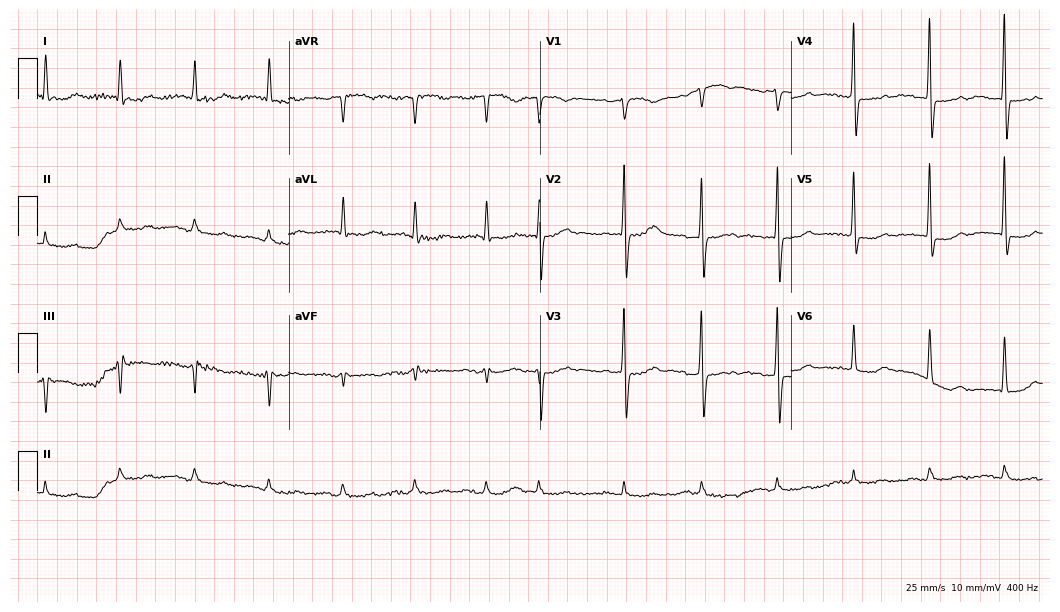
Resting 12-lead electrocardiogram (10.2-second recording at 400 Hz). Patient: a male, 80 years old. None of these six findings is recorded: first-degree AV block, right bundle branch block, left bundle branch block, sinus bradycardia, atrial fibrillation, sinus tachycardia. Only these six findings were labelled.